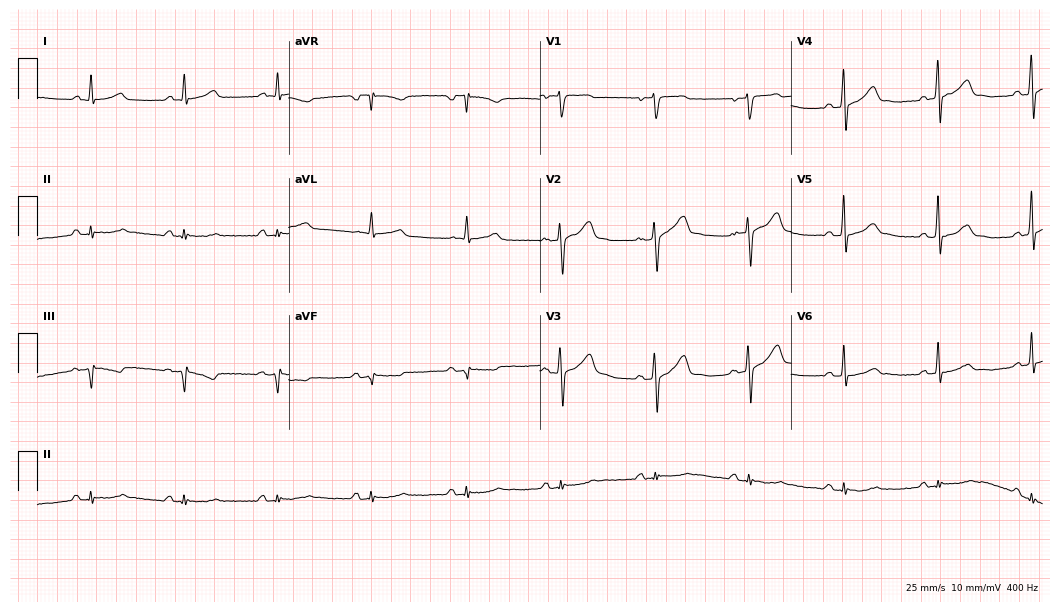
Electrocardiogram (10.2-second recording at 400 Hz), a male, 55 years old. Of the six screened findings (first-degree AV block, right bundle branch block, left bundle branch block, sinus bradycardia, atrial fibrillation, sinus tachycardia), none is recorded. Findings outside these six are not listed.